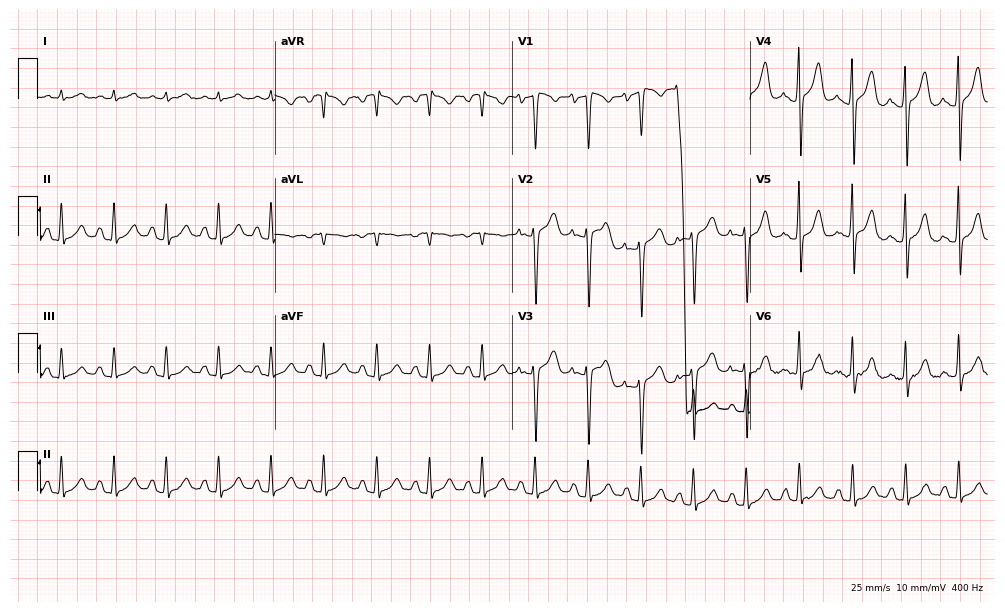
12-lead ECG from a female patient, 63 years old (9.7-second recording at 400 Hz). Shows sinus tachycardia (a sinus rate of 100 beats per minute or more).